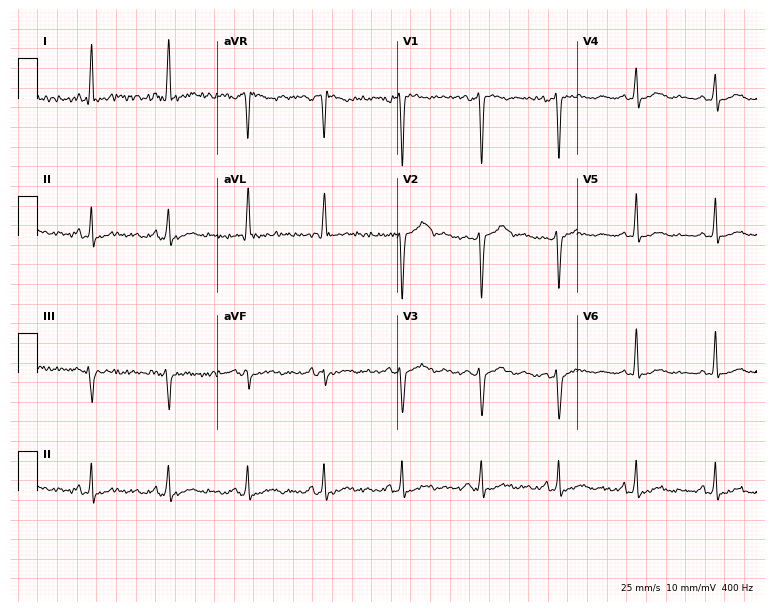
Electrocardiogram (7.3-second recording at 400 Hz), a 47-year-old female. Of the six screened findings (first-degree AV block, right bundle branch block, left bundle branch block, sinus bradycardia, atrial fibrillation, sinus tachycardia), none is recorded.